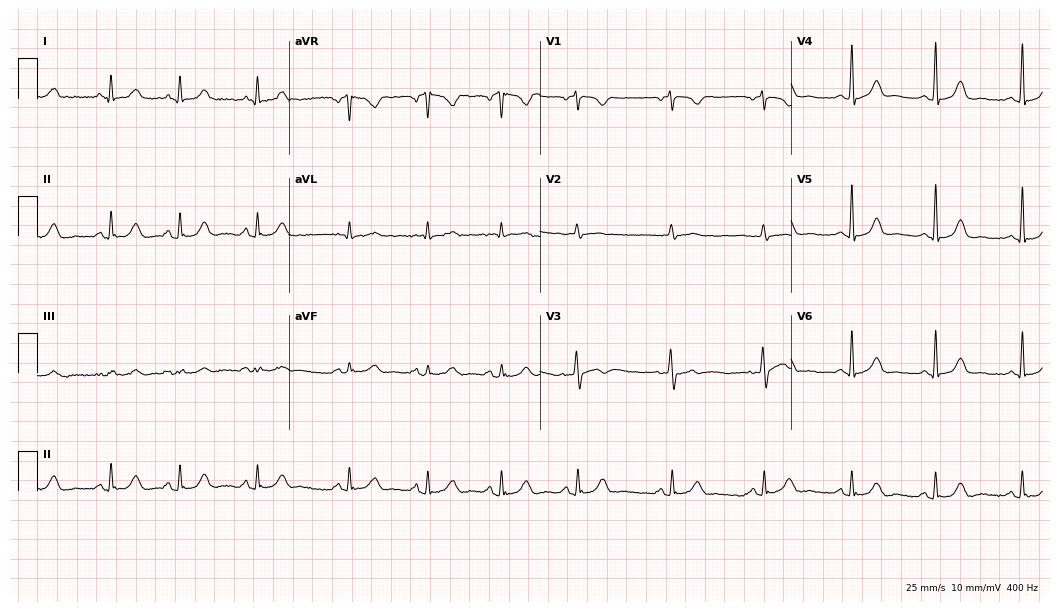
Standard 12-lead ECG recorded from a female, 47 years old (10.2-second recording at 400 Hz). Read as a normal ECG.